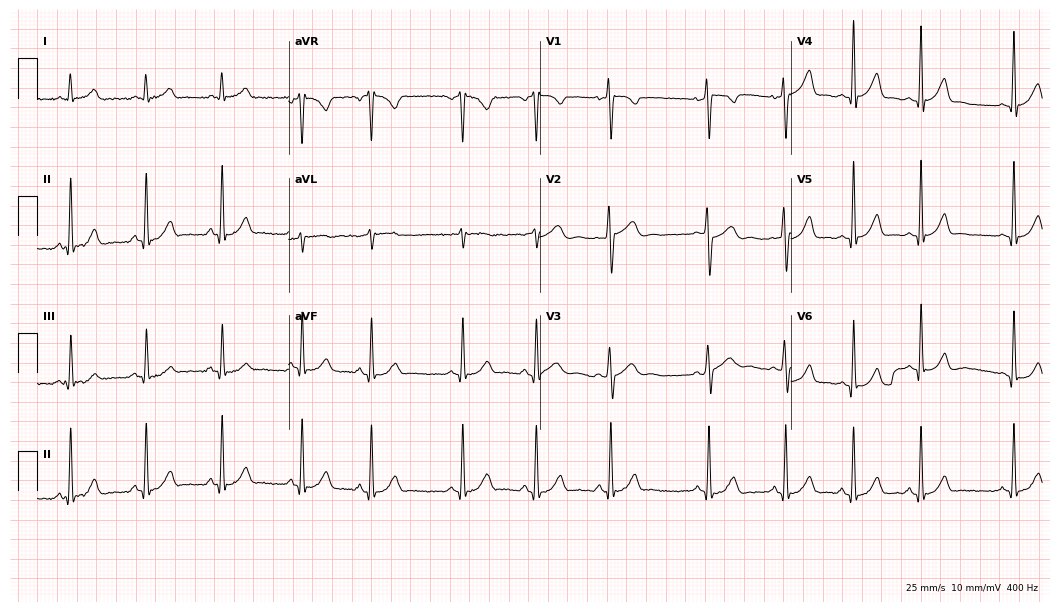
12-lead ECG (10.2-second recording at 400 Hz) from a 17-year-old woman. Labelled as a normal ECG.